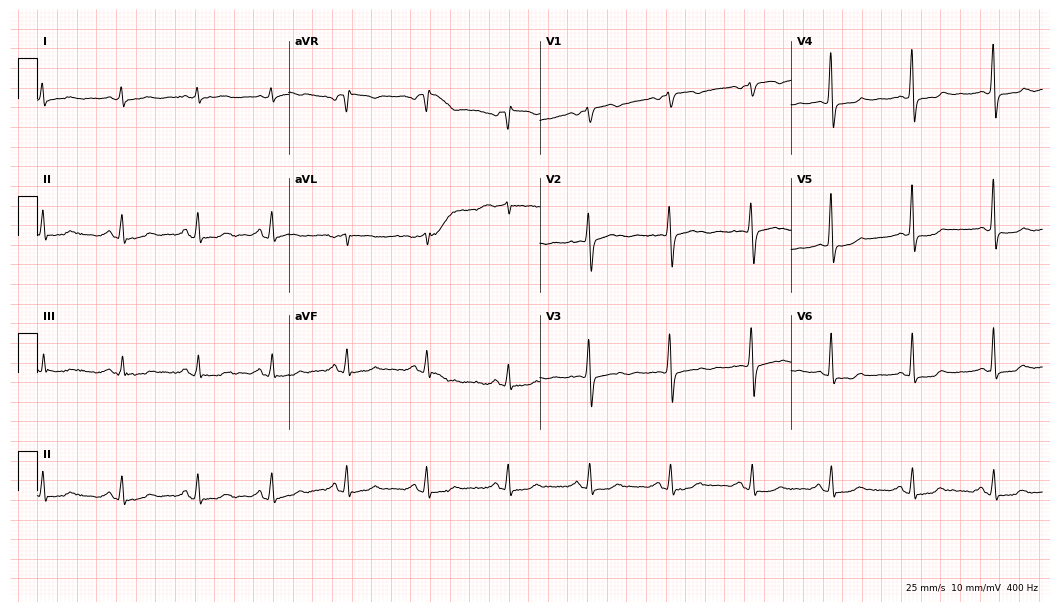
12-lead ECG from a 43-year-old woman (10.2-second recording at 400 Hz). No first-degree AV block, right bundle branch block, left bundle branch block, sinus bradycardia, atrial fibrillation or sinus tachycardia recorded for this tracing. Other findings, if any, are not listed.